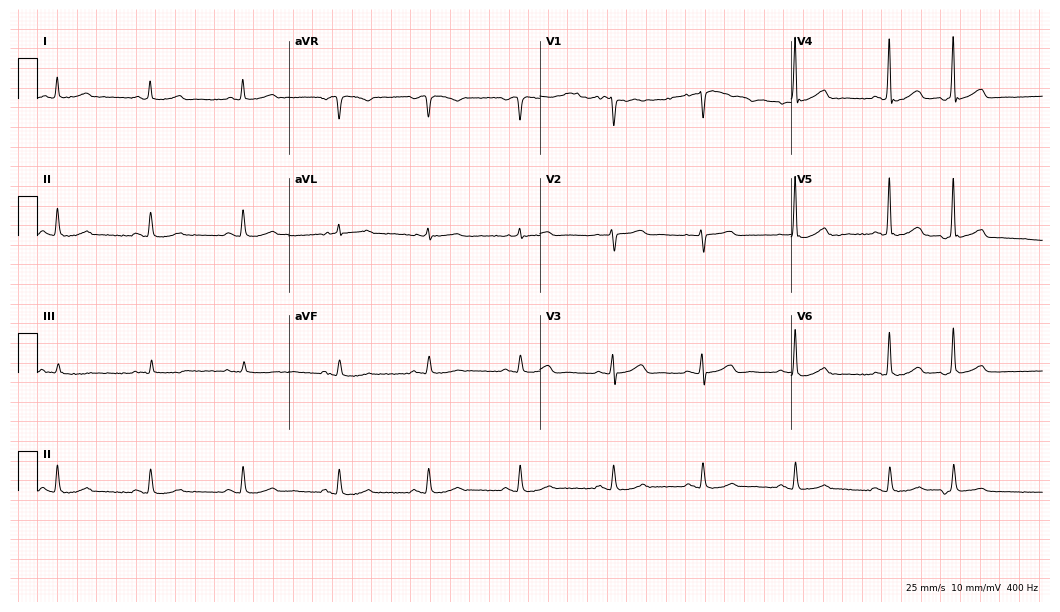
12-lead ECG (10.2-second recording at 400 Hz) from a male patient, 81 years old. Screened for six findings — first-degree AV block, right bundle branch block, left bundle branch block, sinus bradycardia, atrial fibrillation, sinus tachycardia — none is recorded. Other findings, if any, are not listed.